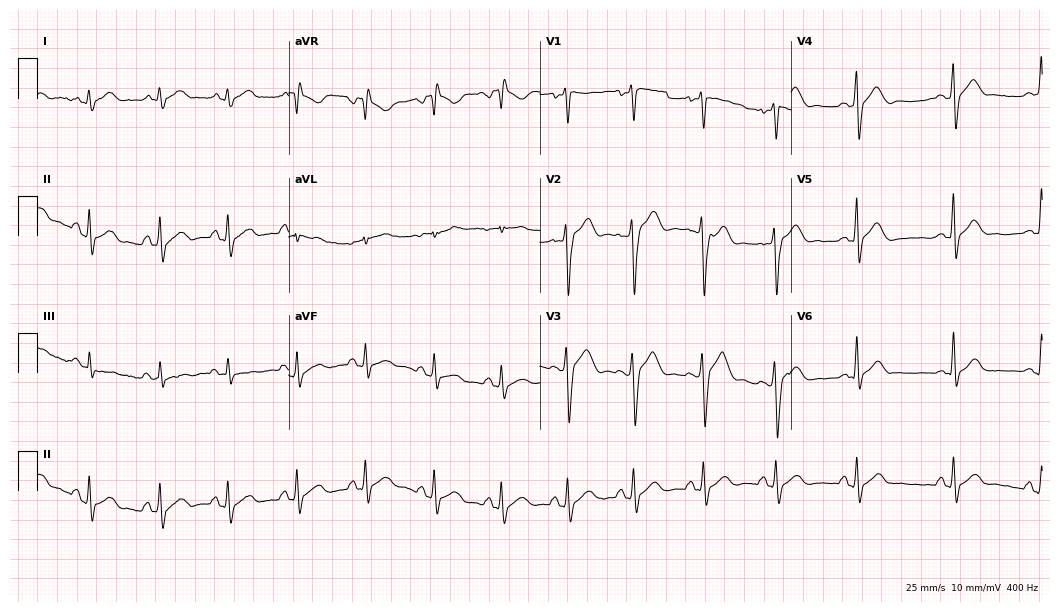
Standard 12-lead ECG recorded from a man, 31 years old (10.2-second recording at 400 Hz). Read as a normal ECG.